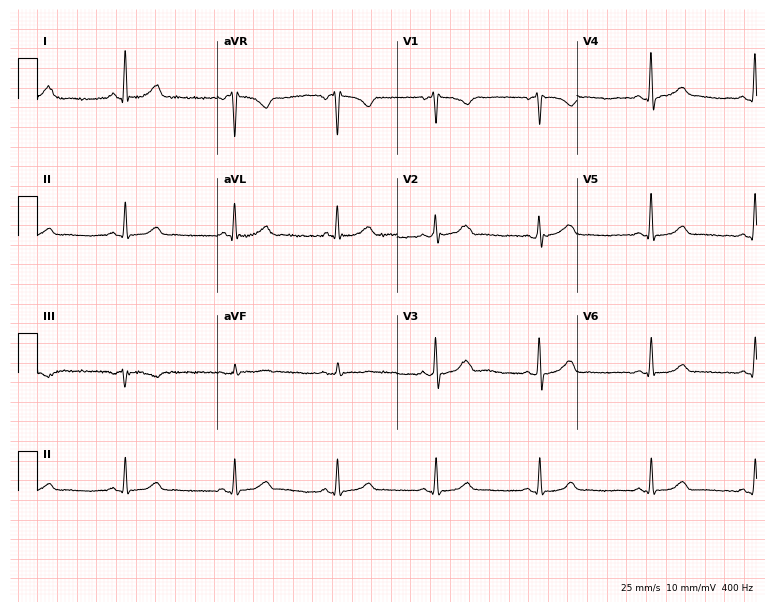
Standard 12-lead ECG recorded from a 54-year-old woman (7.3-second recording at 400 Hz). Read as a normal ECG.